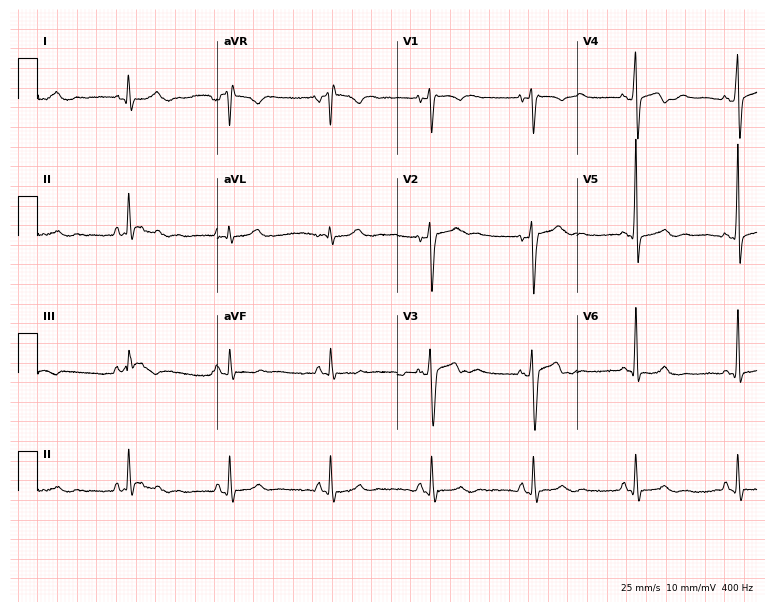
Standard 12-lead ECG recorded from a man, 29 years old (7.3-second recording at 400 Hz). None of these six findings is recorded: first-degree AV block, right bundle branch block, left bundle branch block, sinus bradycardia, atrial fibrillation, sinus tachycardia. Other findings, if any, are not listed.